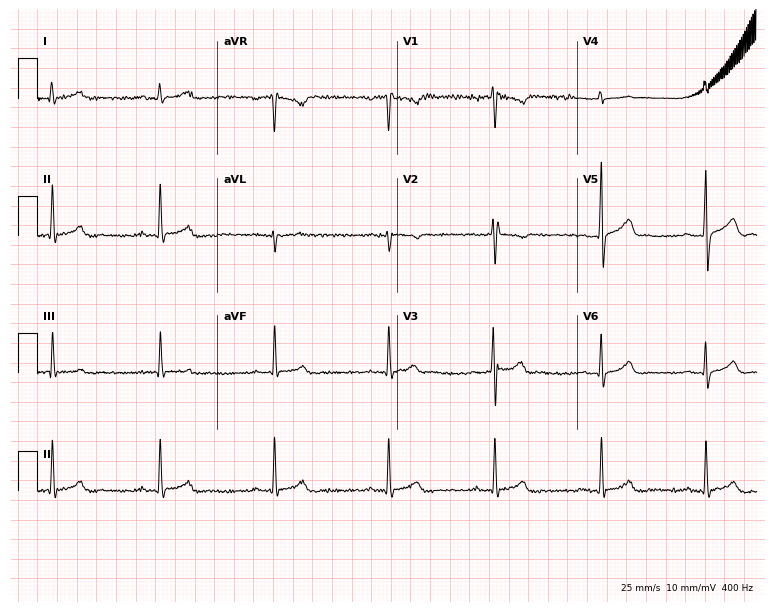
ECG — a 30-year-old male patient. Screened for six findings — first-degree AV block, right bundle branch block, left bundle branch block, sinus bradycardia, atrial fibrillation, sinus tachycardia — none is recorded.